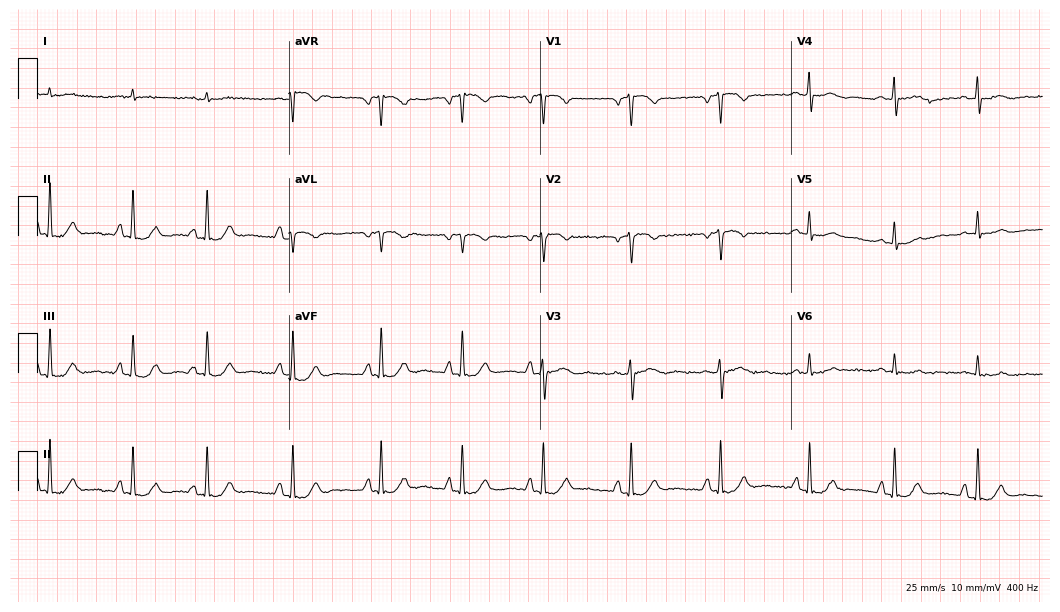
Resting 12-lead electrocardiogram. Patient: a 78-year-old male. None of these six findings is recorded: first-degree AV block, right bundle branch block (RBBB), left bundle branch block (LBBB), sinus bradycardia, atrial fibrillation (AF), sinus tachycardia. Only these six findings were labelled.